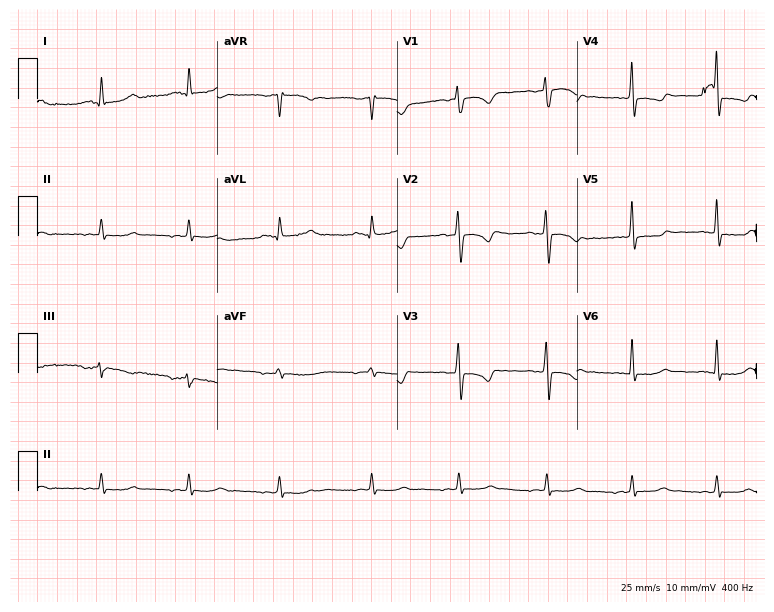
12-lead ECG from a 43-year-old female (7.3-second recording at 400 Hz). No first-degree AV block, right bundle branch block (RBBB), left bundle branch block (LBBB), sinus bradycardia, atrial fibrillation (AF) or sinus tachycardia recorded for this tracing.